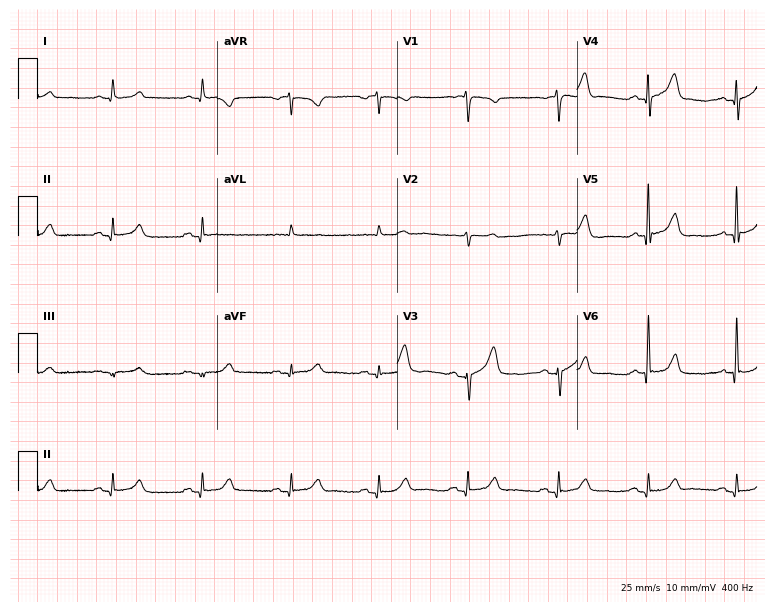
12-lead ECG from a 71-year-old male patient. Recorded interpretation: within normal limits.